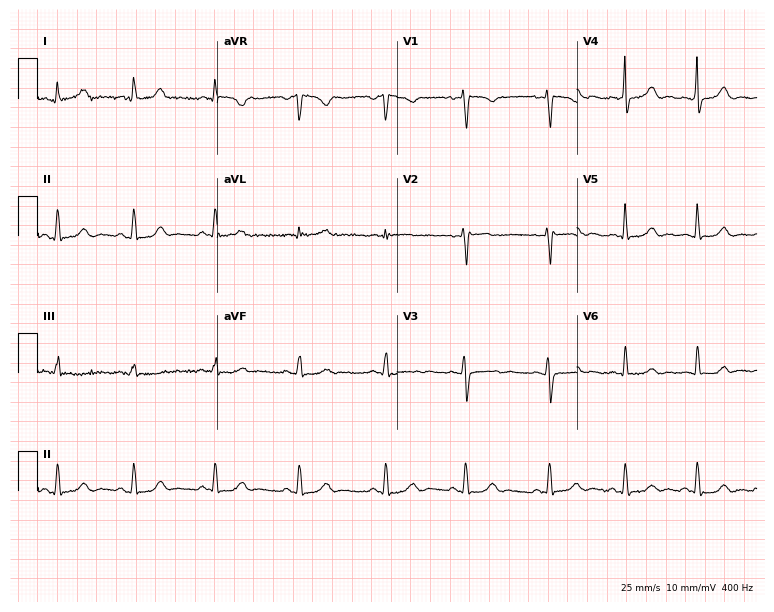
12-lead ECG from a 24-year-old female (7.3-second recording at 400 Hz). Recorded interpretation: within normal limits.